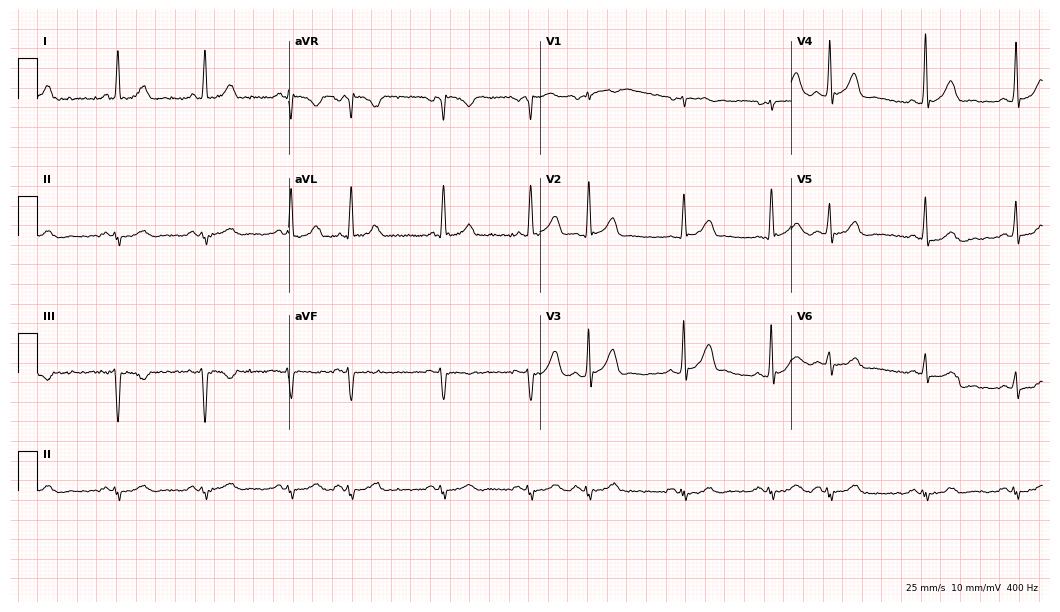
Resting 12-lead electrocardiogram (10.2-second recording at 400 Hz). Patient: a male, 75 years old. None of these six findings is recorded: first-degree AV block, right bundle branch block, left bundle branch block, sinus bradycardia, atrial fibrillation, sinus tachycardia.